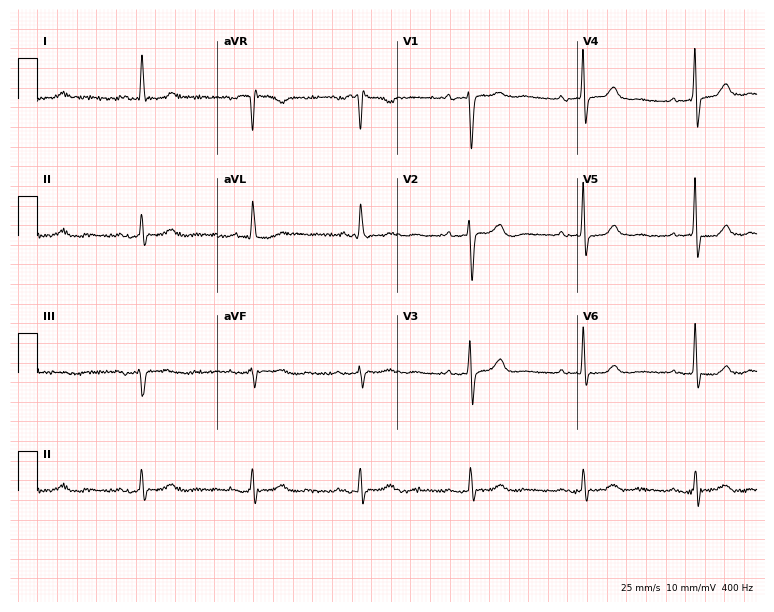
Standard 12-lead ECG recorded from an 83-year-old female (7.3-second recording at 400 Hz). Read as a normal ECG.